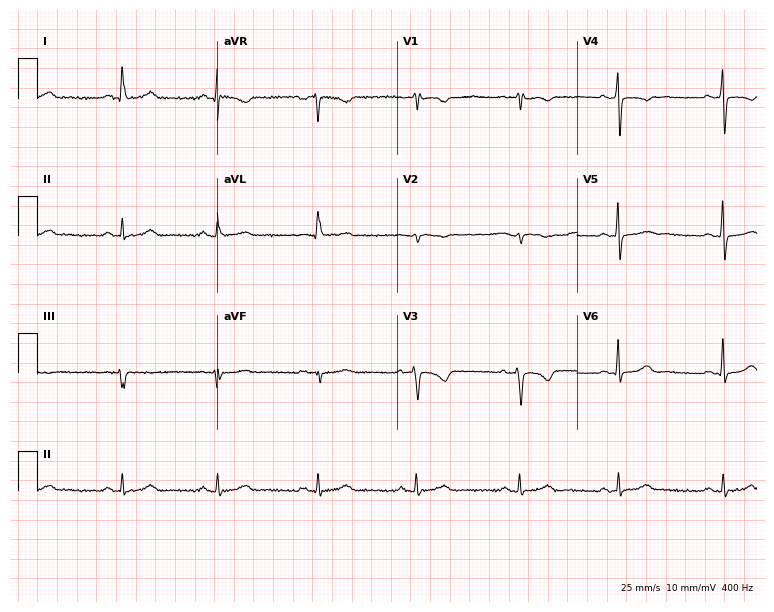
Standard 12-lead ECG recorded from a 58-year-old female patient (7.3-second recording at 400 Hz). Read as a normal ECG.